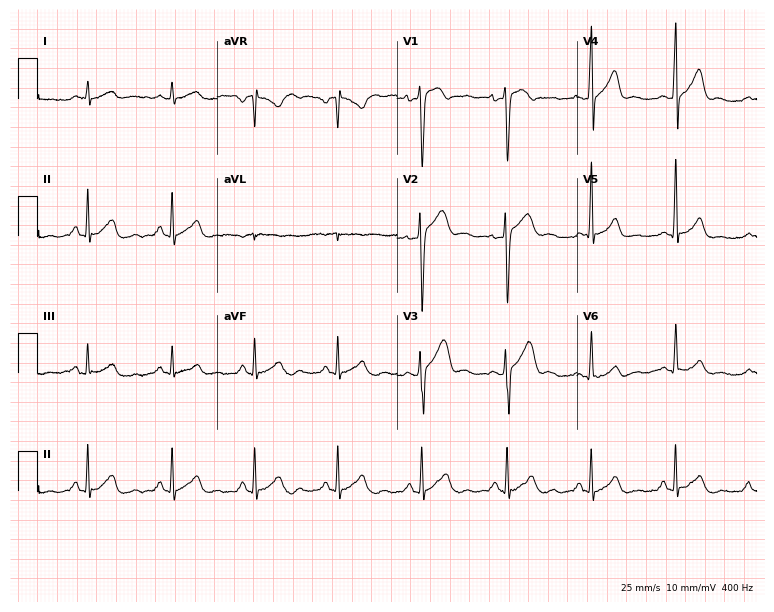
Resting 12-lead electrocardiogram (7.3-second recording at 400 Hz). Patient: a 46-year-old man. Read as a normal ECG.